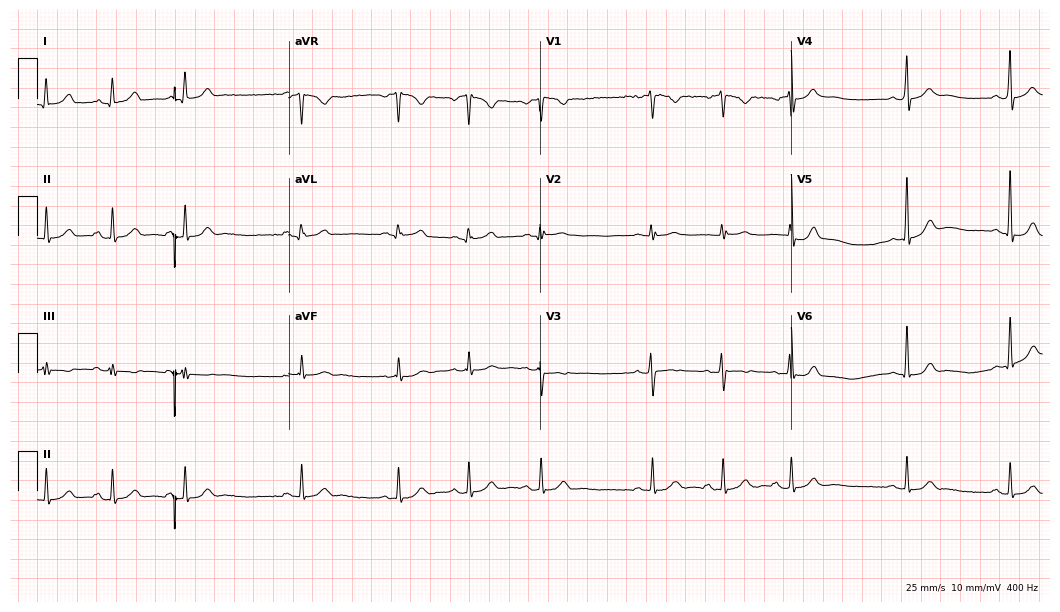
Standard 12-lead ECG recorded from a 22-year-old female patient (10.2-second recording at 400 Hz). None of these six findings is recorded: first-degree AV block, right bundle branch block, left bundle branch block, sinus bradycardia, atrial fibrillation, sinus tachycardia. Other findings, if any, are not listed.